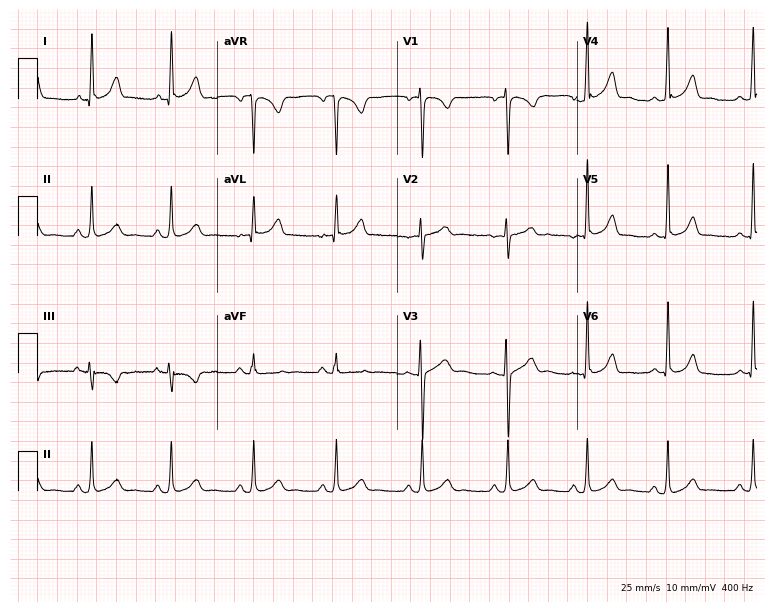
Electrocardiogram (7.3-second recording at 400 Hz), a 30-year-old female patient. Overall reading on record: normal ECG.